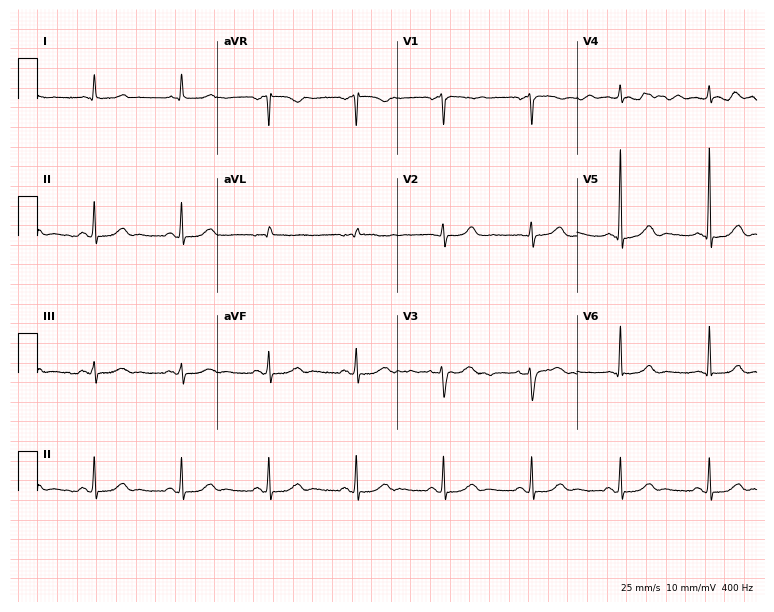
Resting 12-lead electrocardiogram. Patient: a 63-year-old man. Read as a normal ECG.